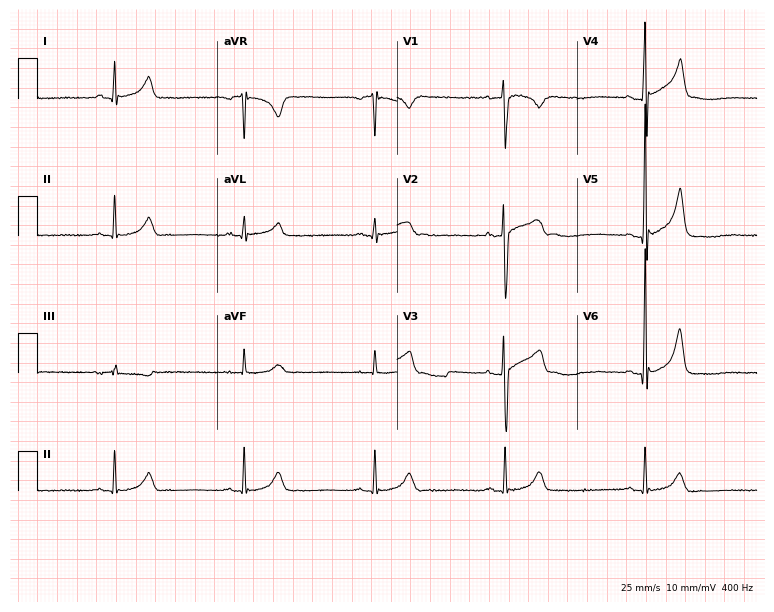
12-lead ECG from a 37-year-old male. Screened for six findings — first-degree AV block, right bundle branch block (RBBB), left bundle branch block (LBBB), sinus bradycardia, atrial fibrillation (AF), sinus tachycardia — none is recorded. Other findings, if any, are not listed.